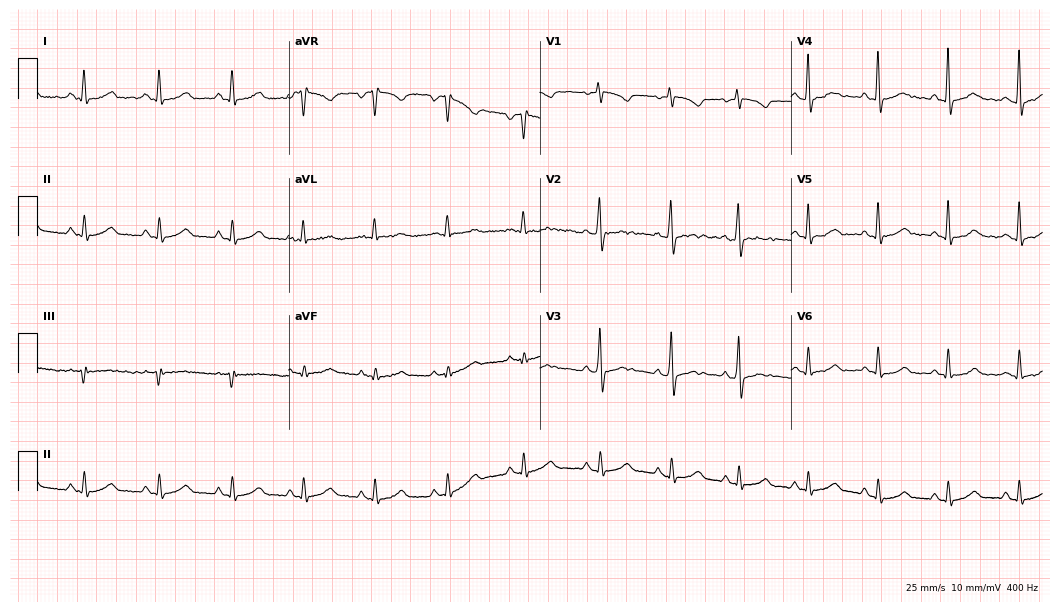
Electrocardiogram, a 31-year-old female. Overall reading on record: normal ECG.